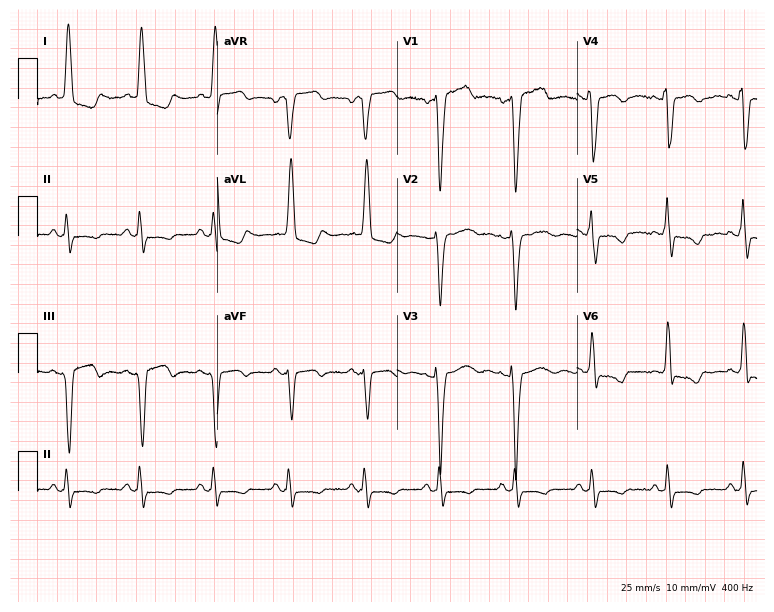
12-lead ECG from an 80-year-old female. No first-degree AV block, right bundle branch block, left bundle branch block, sinus bradycardia, atrial fibrillation or sinus tachycardia recorded for this tracing.